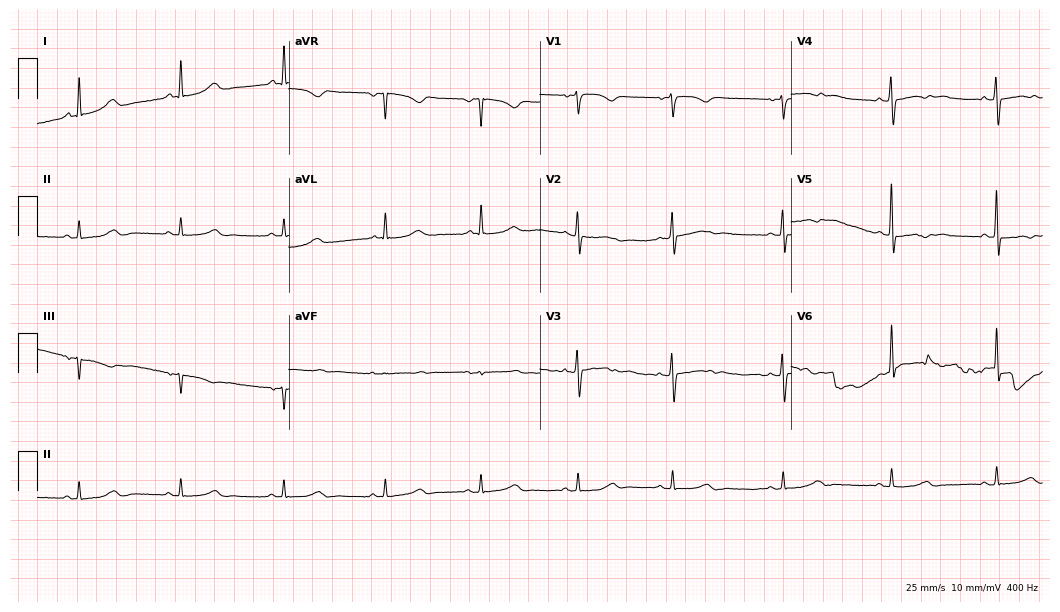
12-lead ECG from a woman, 55 years old (10.2-second recording at 400 Hz). No first-degree AV block, right bundle branch block (RBBB), left bundle branch block (LBBB), sinus bradycardia, atrial fibrillation (AF) or sinus tachycardia recorded for this tracing. Other findings, if any, are not listed.